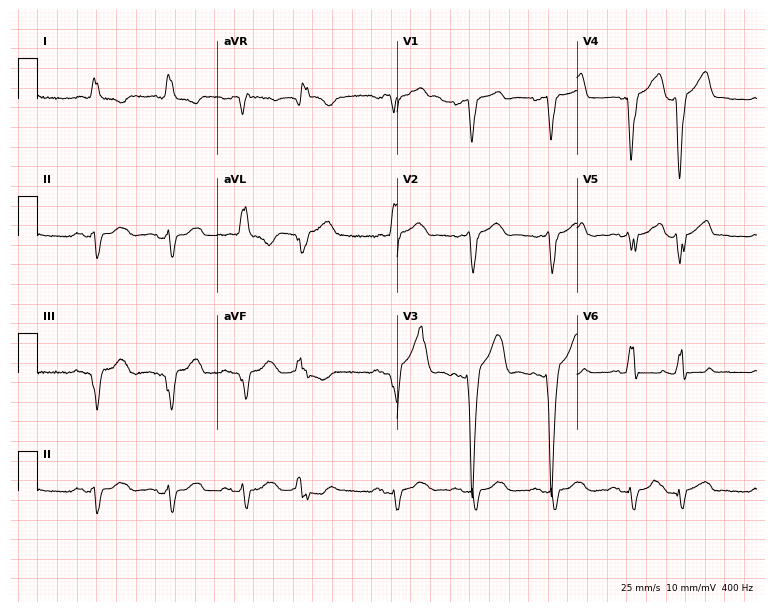
Resting 12-lead electrocardiogram. Patient: a man, 80 years old. The tracing shows left bundle branch block (LBBB).